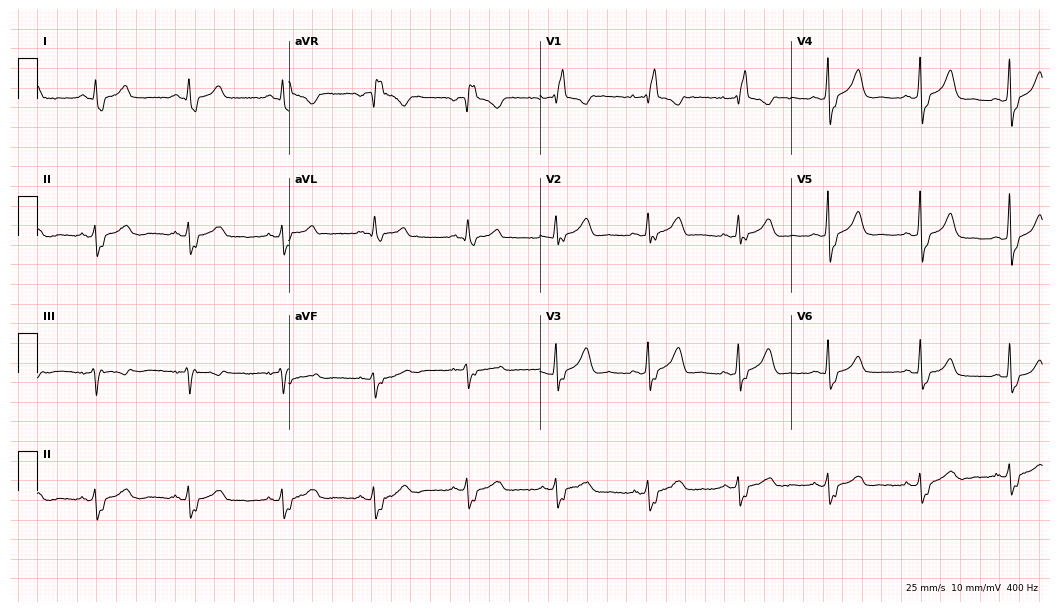
12-lead ECG (10.2-second recording at 400 Hz) from a 36-year-old female patient. Findings include right bundle branch block.